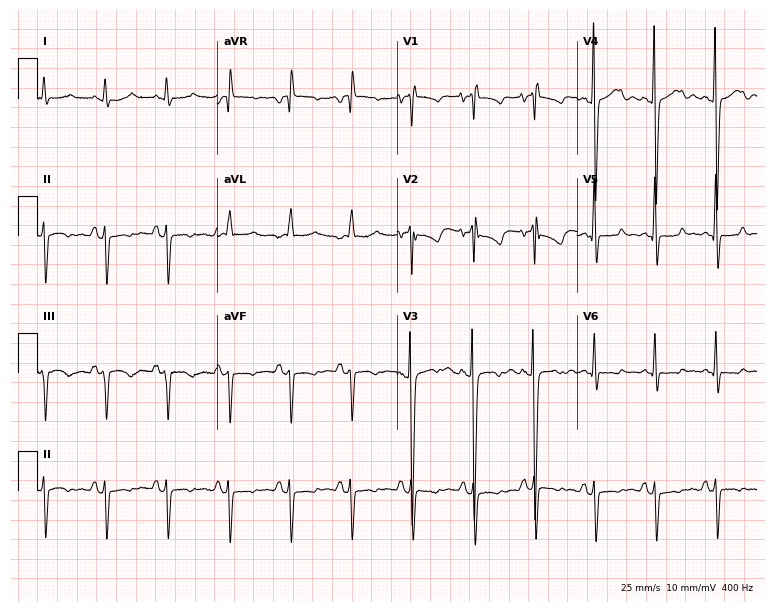
12-lead ECG from a man, 49 years old (7.3-second recording at 400 Hz). No first-degree AV block, right bundle branch block, left bundle branch block, sinus bradycardia, atrial fibrillation or sinus tachycardia recorded for this tracing.